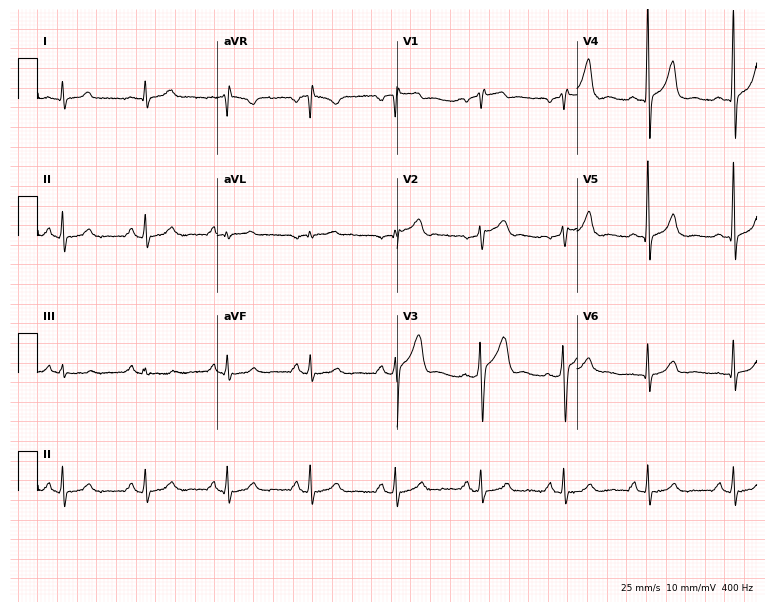
12-lead ECG (7.3-second recording at 400 Hz) from a 51-year-old male patient. Screened for six findings — first-degree AV block, right bundle branch block (RBBB), left bundle branch block (LBBB), sinus bradycardia, atrial fibrillation (AF), sinus tachycardia — none is recorded. Only these six findings were labelled.